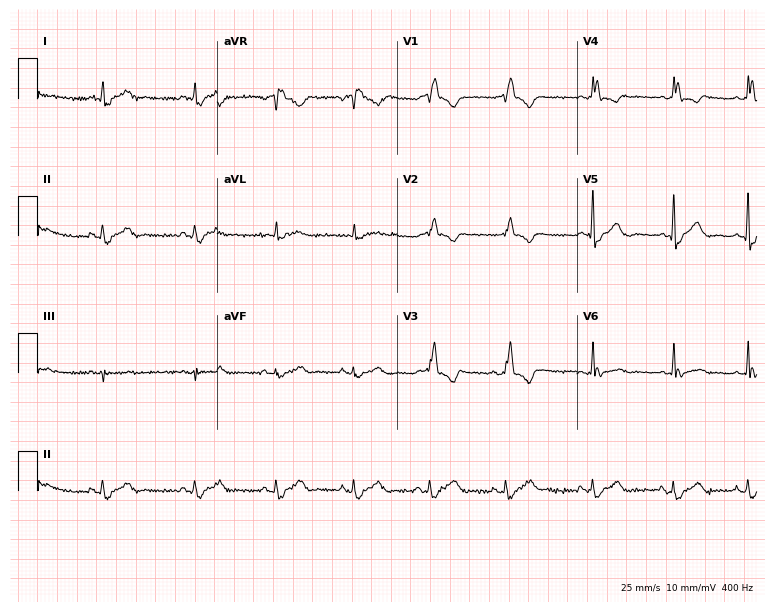
Resting 12-lead electrocardiogram. Patient: a male, 83 years old. None of these six findings is recorded: first-degree AV block, right bundle branch block, left bundle branch block, sinus bradycardia, atrial fibrillation, sinus tachycardia.